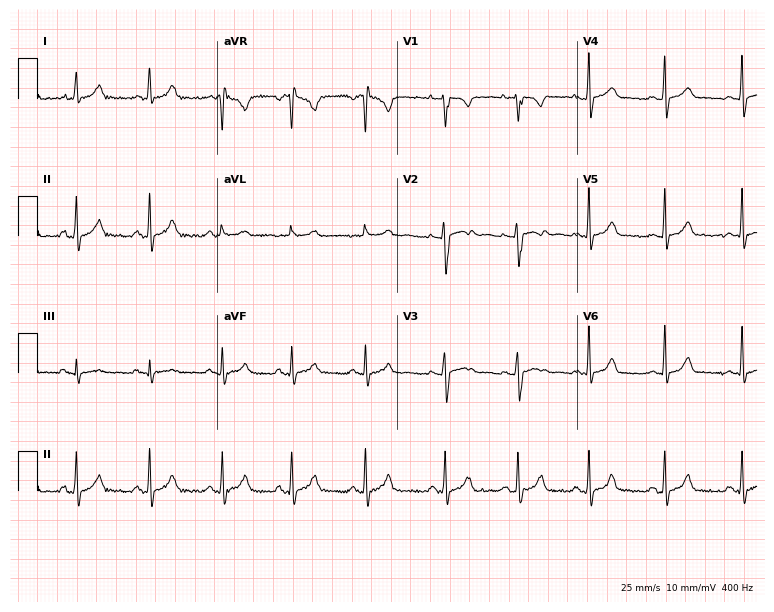
12-lead ECG (7.3-second recording at 400 Hz) from a 17-year-old female patient. Labelled as a normal ECG.